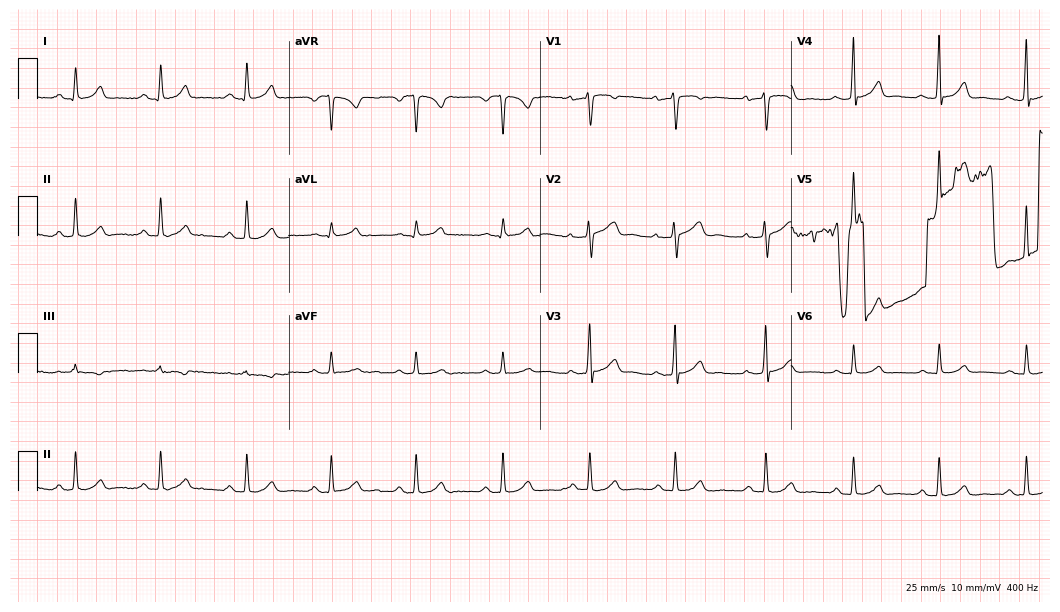
Standard 12-lead ECG recorded from a woman, 40 years old (10.2-second recording at 400 Hz). None of these six findings is recorded: first-degree AV block, right bundle branch block, left bundle branch block, sinus bradycardia, atrial fibrillation, sinus tachycardia. Findings outside these six are not listed.